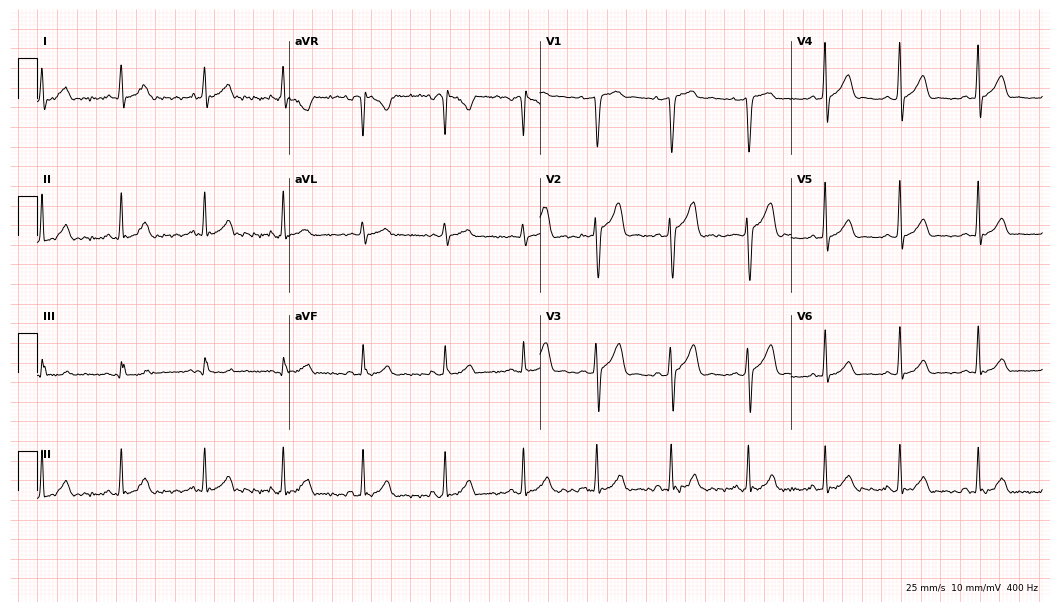
12-lead ECG (10.2-second recording at 400 Hz) from a 30-year-old man. Screened for six findings — first-degree AV block, right bundle branch block, left bundle branch block, sinus bradycardia, atrial fibrillation, sinus tachycardia — none is recorded.